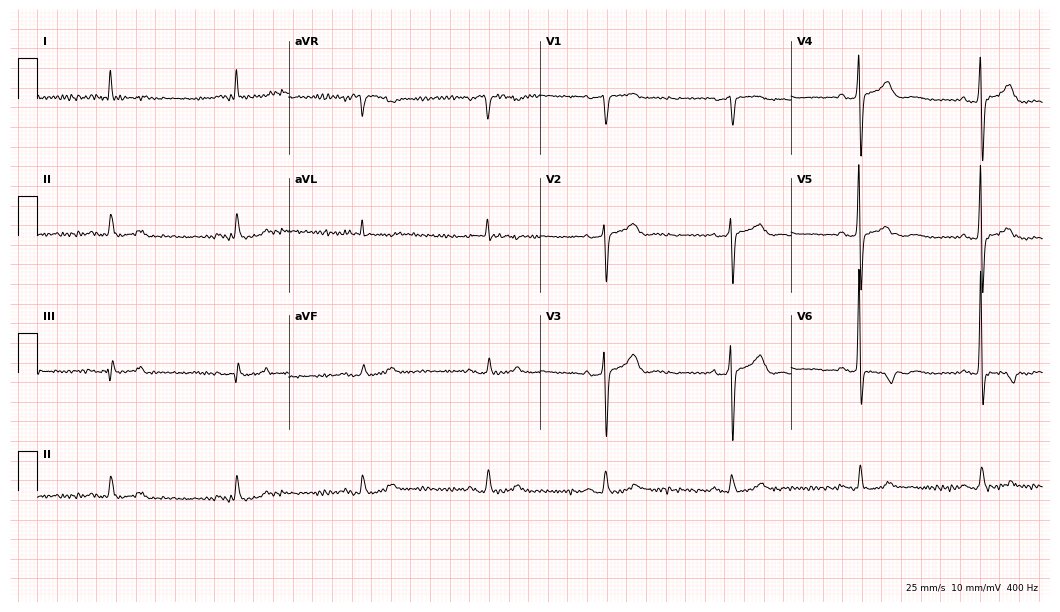
Standard 12-lead ECG recorded from a man, 83 years old. None of these six findings is recorded: first-degree AV block, right bundle branch block, left bundle branch block, sinus bradycardia, atrial fibrillation, sinus tachycardia.